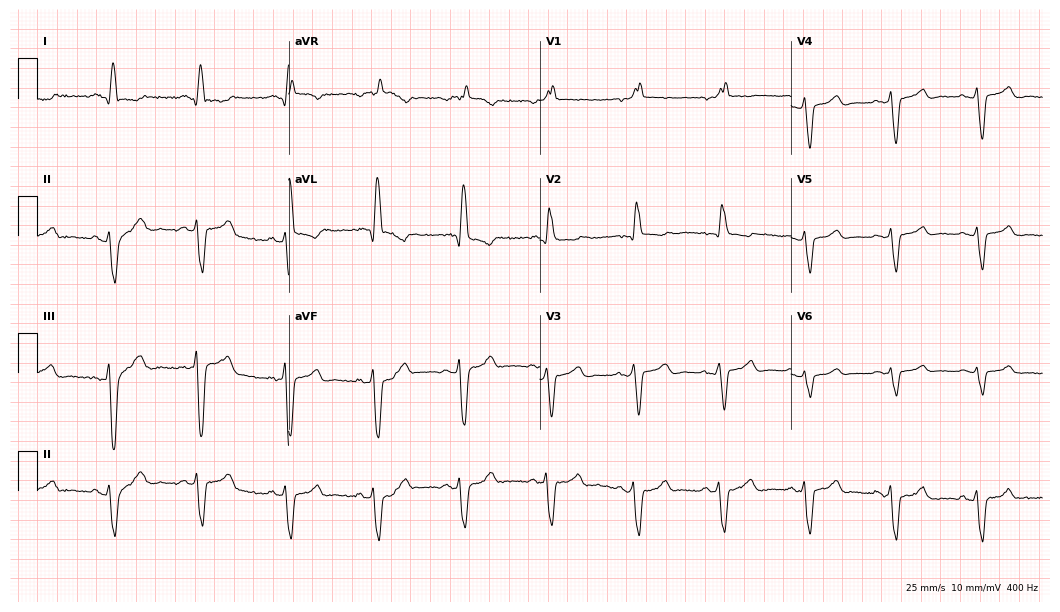
12-lead ECG (10.2-second recording at 400 Hz) from a 59-year-old female. Findings include right bundle branch block.